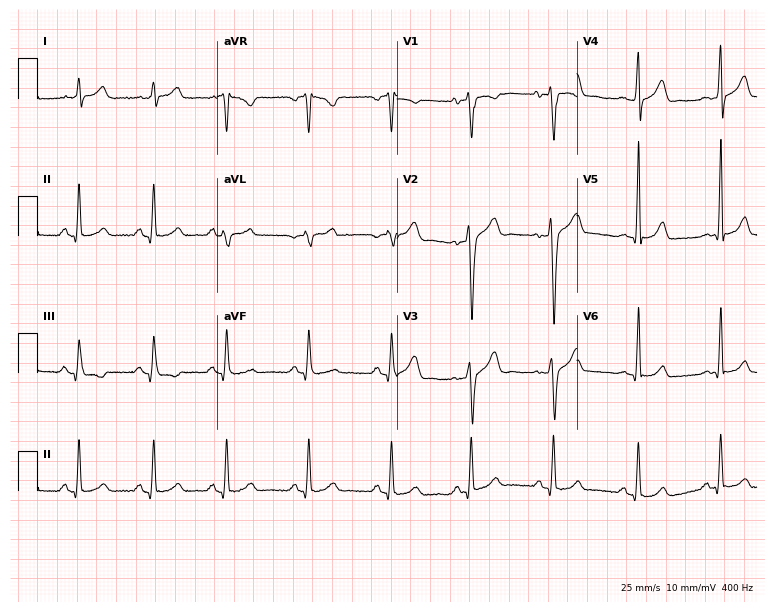
Standard 12-lead ECG recorded from a 20-year-old woman. Read as a normal ECG.